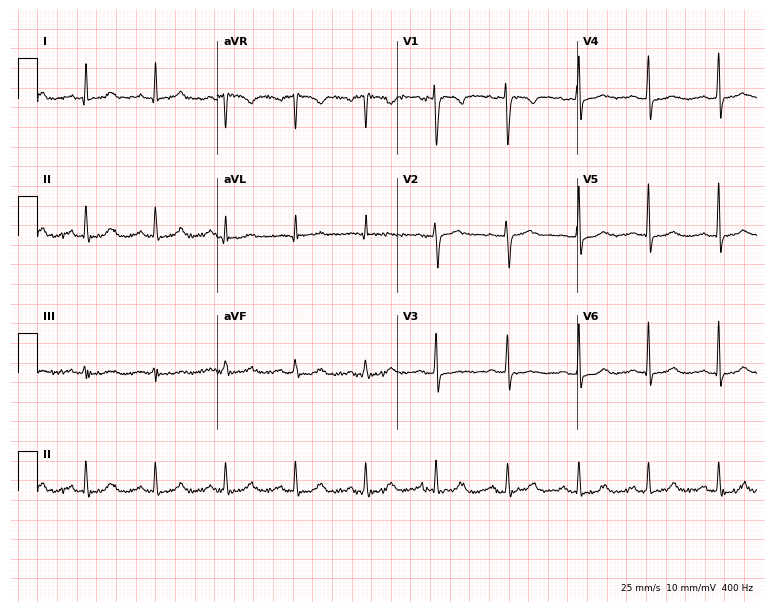
12-lead ECG (7.3-second recording at 400 Hz) from a 35-year-old female. Screened for six findings — first-degree AV block, right bundle branch block, left bundle branch block, sinus bradycardia, atrial fibrillation, sinus tachycardia — none is recorded. Other findings, if any, are not listed.